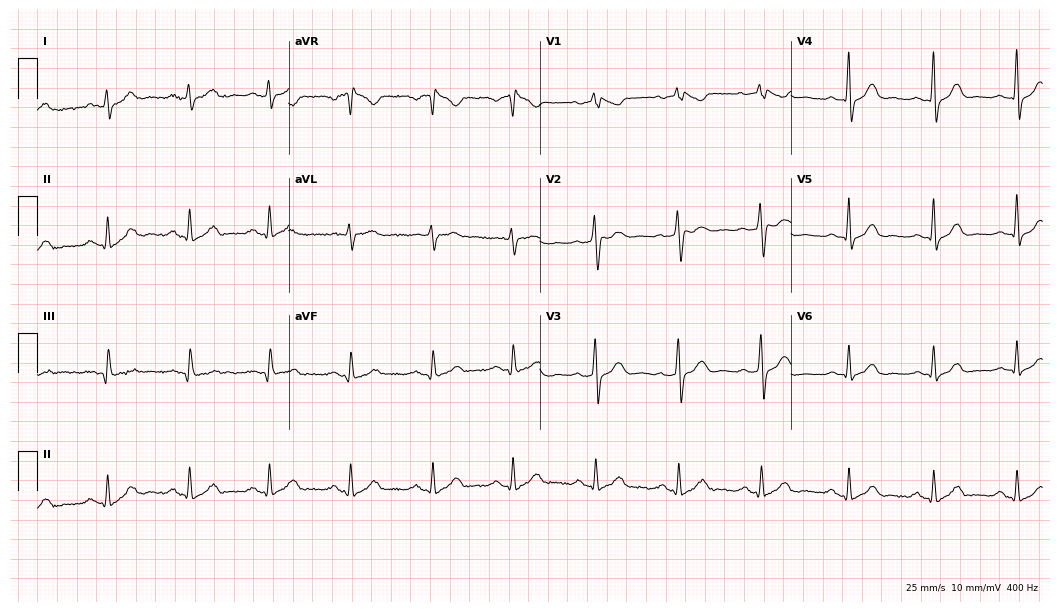
12-lead ECG from a 53-year-old female. No first-degree AV block, right bundle branch block (RBBB), left bundle branch block (LBBB), sinus bradycardia, atrial fibrillation (AF) or sinus tachycardia recorded for this tracing.